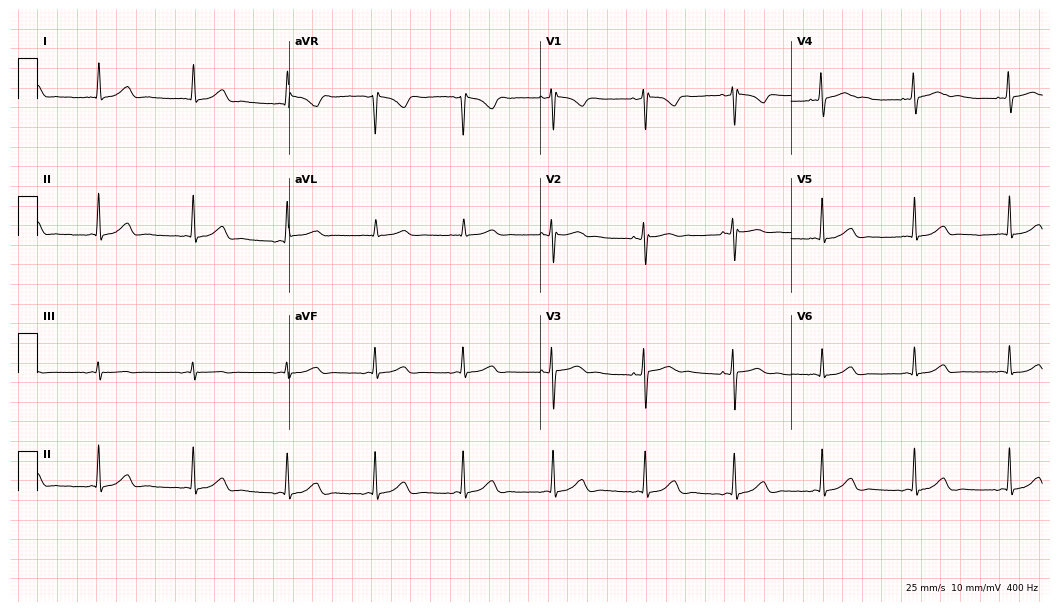
Standard 12-lead ECG recorded from a female, 40 years old. Read as a normal ECG.